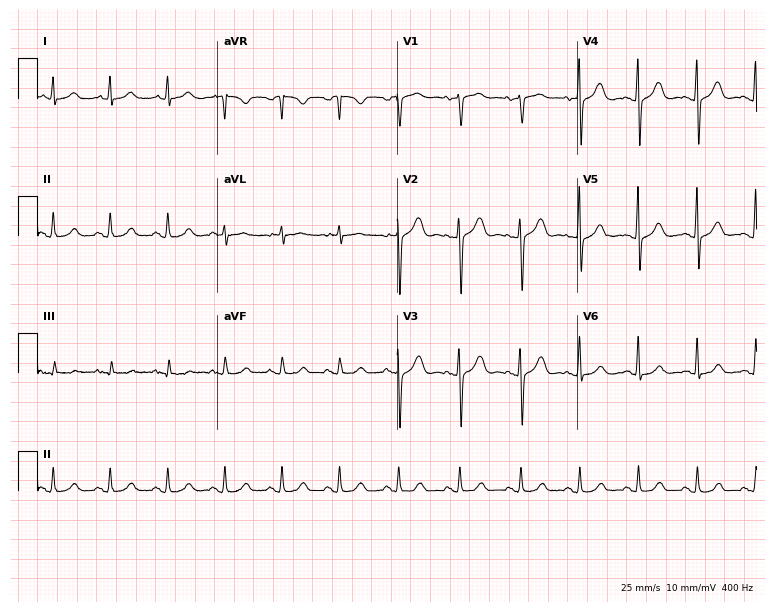
Standard 12-lead ECG recorded from a woman, 55 years old. None of these six findings is recorded: first-degree AV block, right bundle branch block (RBBB), left bundle branch block (LBBB), sinus bradycardia, atrial fibrillation (AF), sinus tachycardia. Only these six findings were labelled.